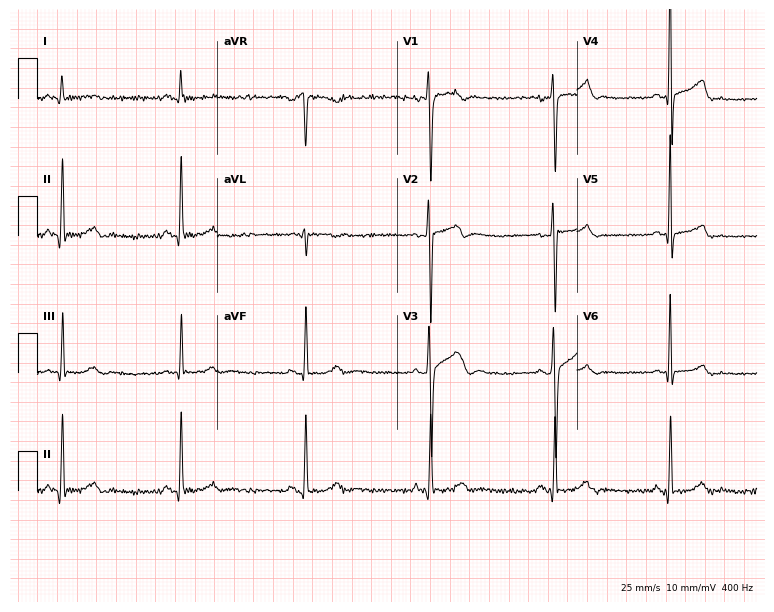
12-lead ECG from a 28-year-old male. Shows sinus bradycardia (a sinus rate of 50 beats per minute or less).